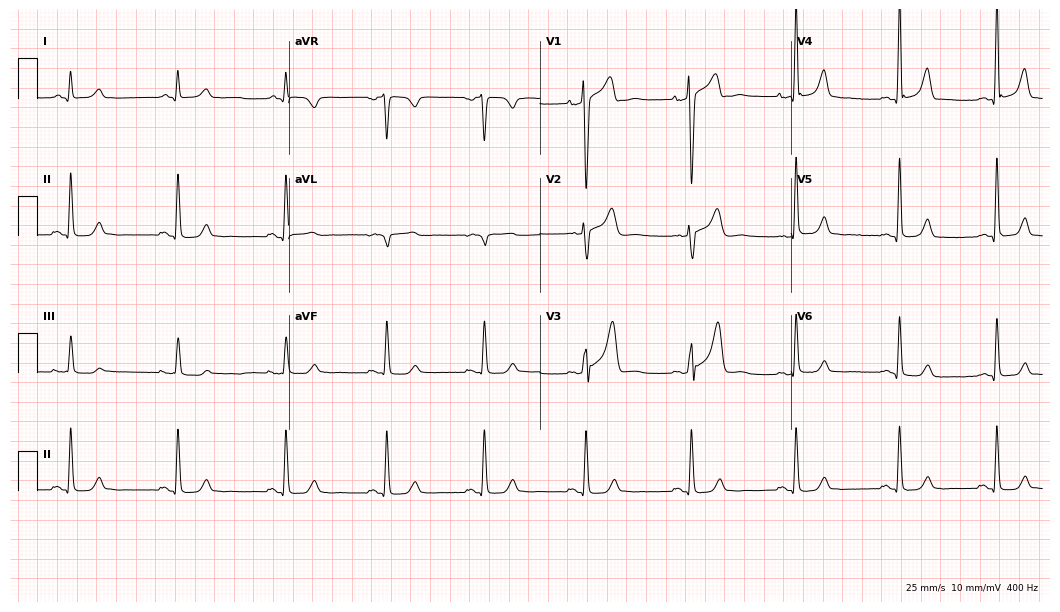
Resting 12-lead electrocardiogram. Patient: a male, 41 years old. Read as a normal ECG.